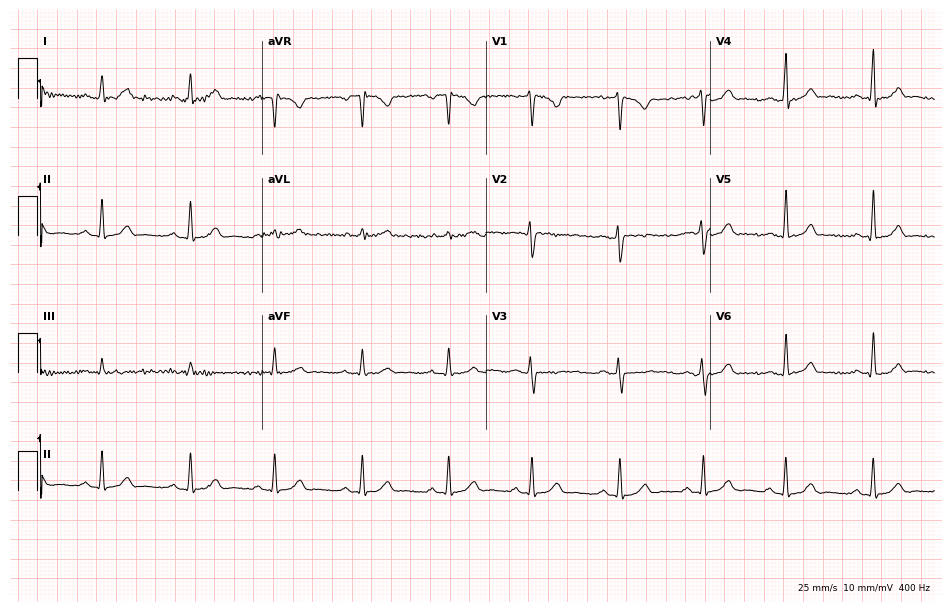
Electrocardiogram, a female patient, 34 years old. Of the six screened findings (first-degree AV block, right bundle branch block (RBBB), left bundle branch block (LBBB), sinus bradycardia, atrial fibrillation (AF), sinus tachycardia), none is recorded.